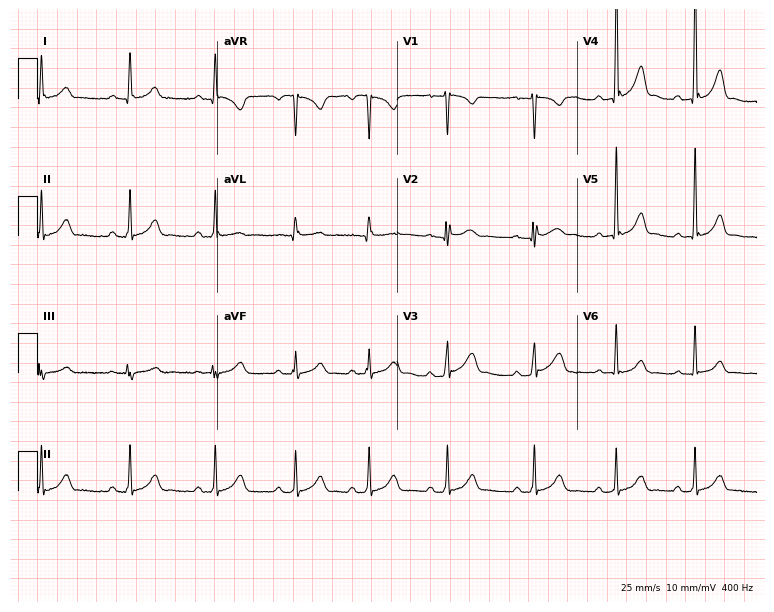
Resting 12-lead electrocardiogram. Patient: a 35-year-old woman. Read as a normal ECG.